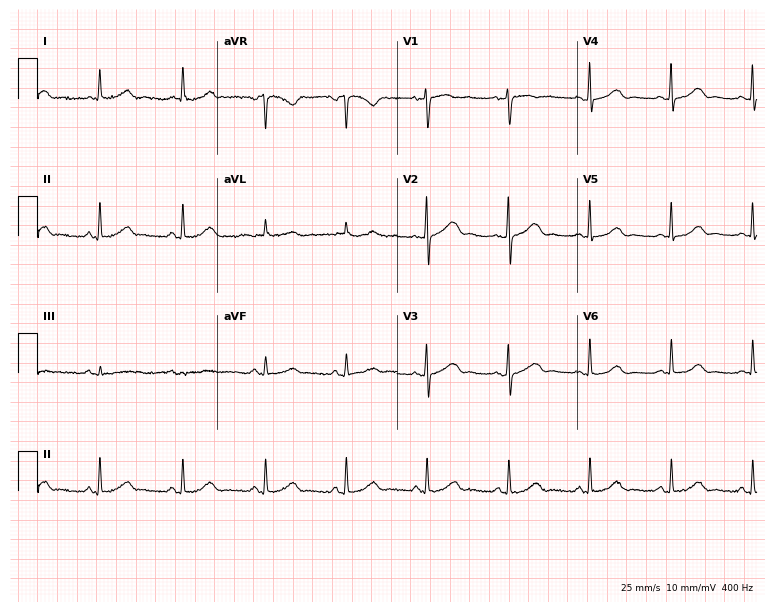
12-lead ECG from a 56-year-old female. Labelled as a normal ECG.